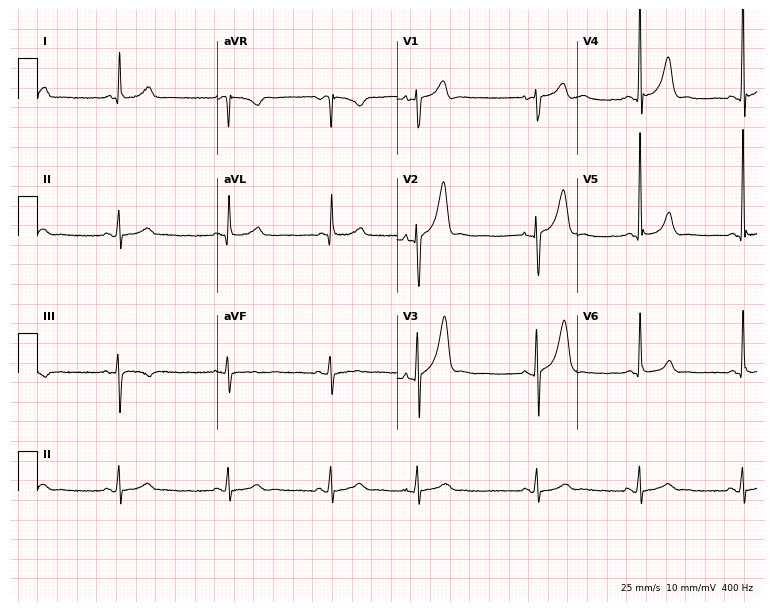
12-lead ECG from a male patient, 67 years old (7.3-second recording at 400 Hz). No first-degree AV block, right bundle branch block (RBBB), left bundle branch block (LBBB), sinus bradycardia, atrial fibrillation (AF) or sinus tachycardia recorded for this tracing.